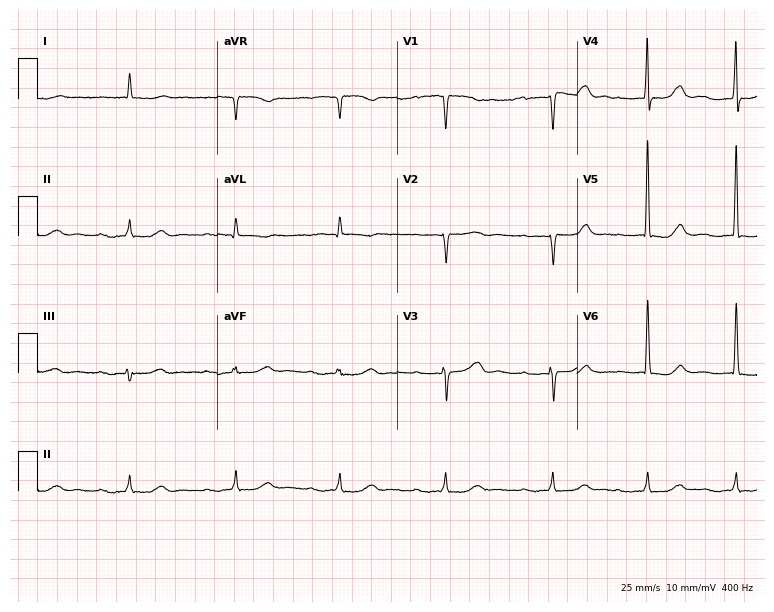
Standard 12-lead ECG recorded from a woman, 77 years old. The tracing shows first-degree AV block.